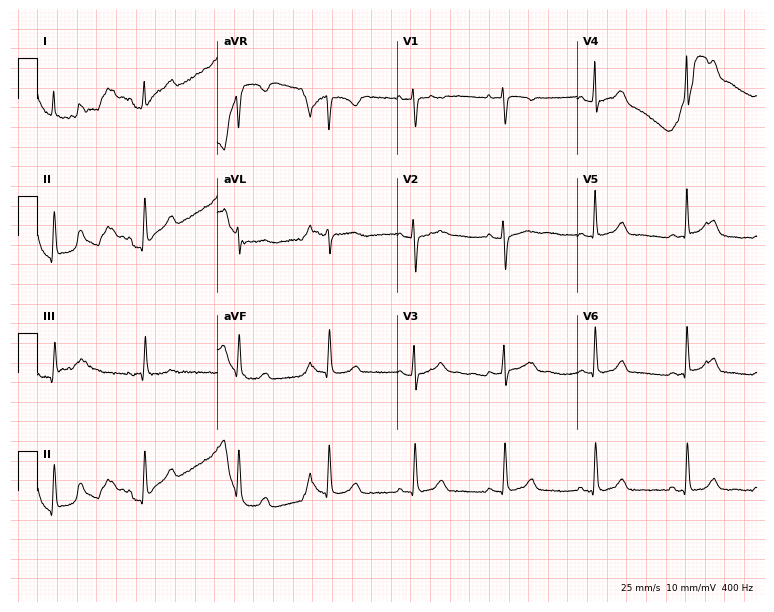
Resting 12-lead electrocardiogram (7.3-second recording at 400 Hz). Patient: a female, 29 years old. Read as a normal ECG.